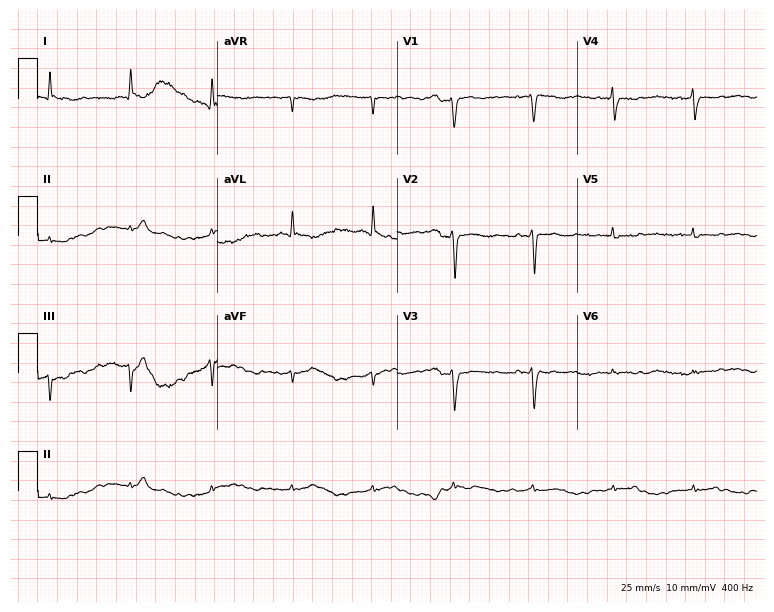
Resting 12-lead electrocardiogram (7.3-second recording at 400 Hz). Patient: a 63-year-old female. None of these six findings is recorded: first-degree AV block, right bundle branch block (RBBB), left bundle branch block (LBBB), sinus bradycardia, atrial fibrillation (AF), sinus tachycardia. Findings outside these six are not listed.